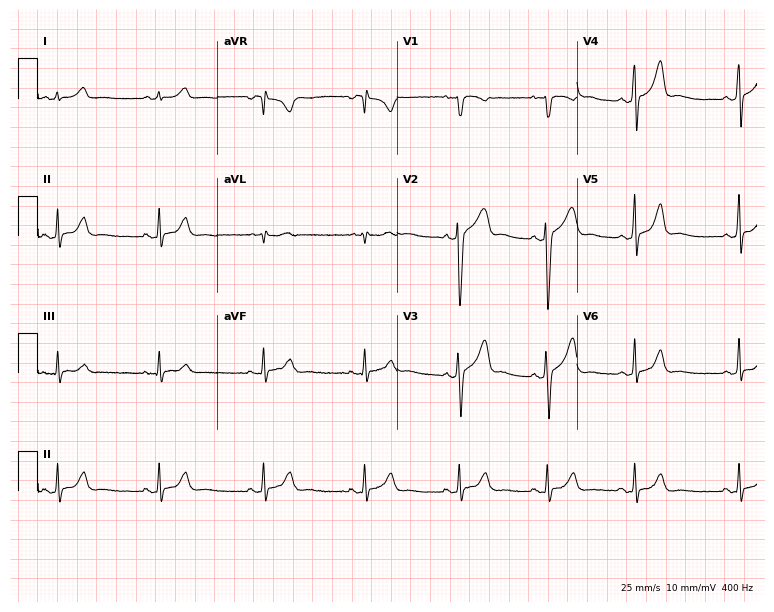
Electrocardiogram, a female patient, 18 years old. Overall reading on record: normal ECG.